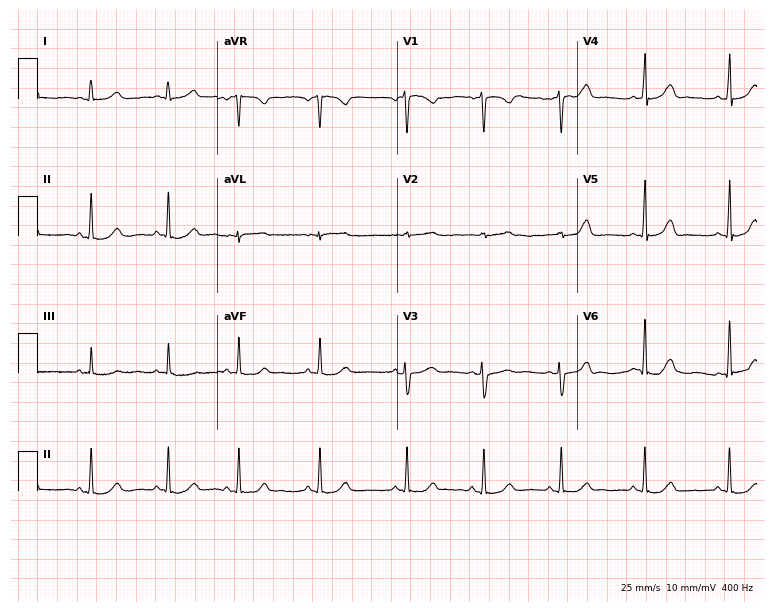
ECG — a female patient, 24 years old. Labelled as a normal ECG.